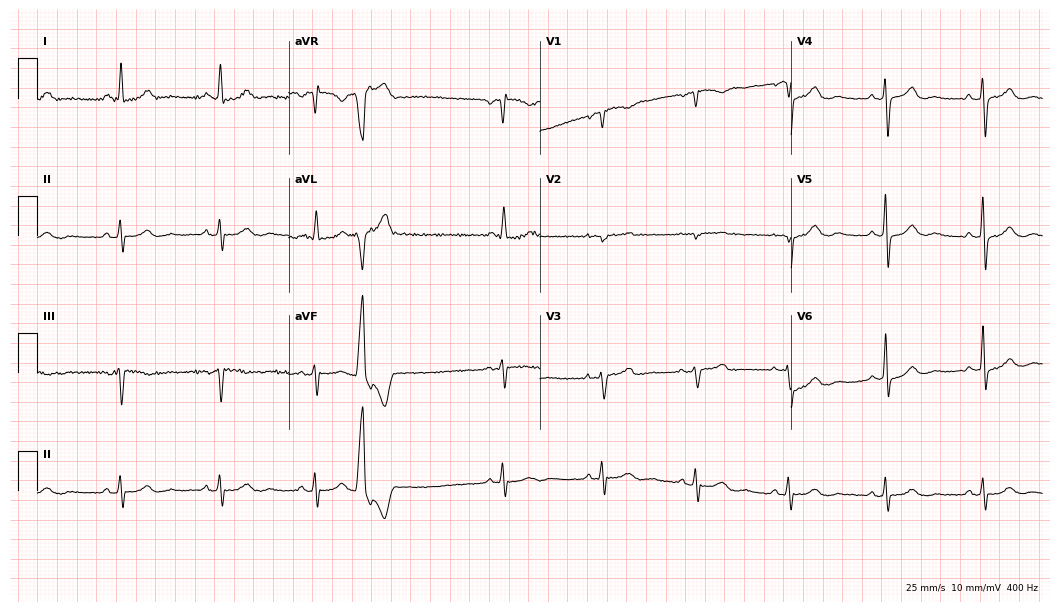
Standard 12-lead ECG recorded from a woman, 76 years old. Read as a normal ECG.